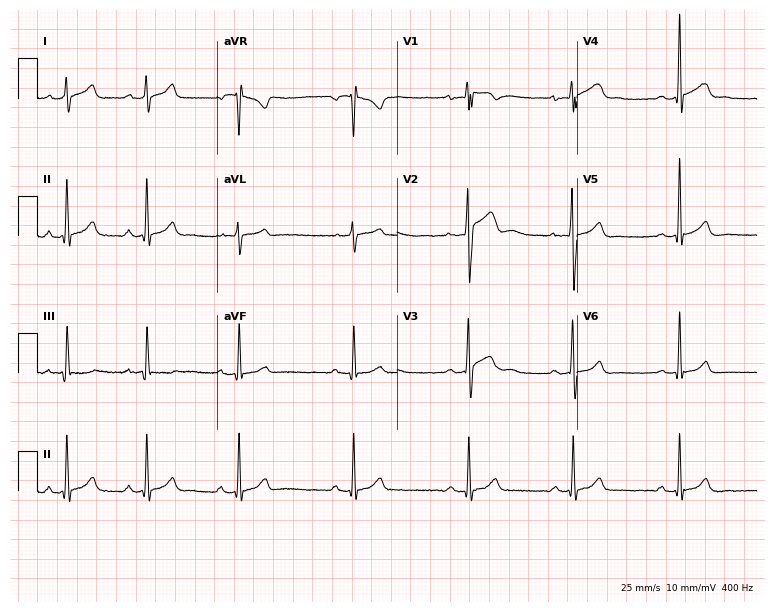
ECG (7.3-second recording at 400 Hz) — a 21-year-old male. Screened for six findings — first-degree AV block, right bundle branch block, left bundle branch block, sinus bradycardia, atrial fibrillation, sinus tachycardia — none is recorded. Only these six findings were labelled.